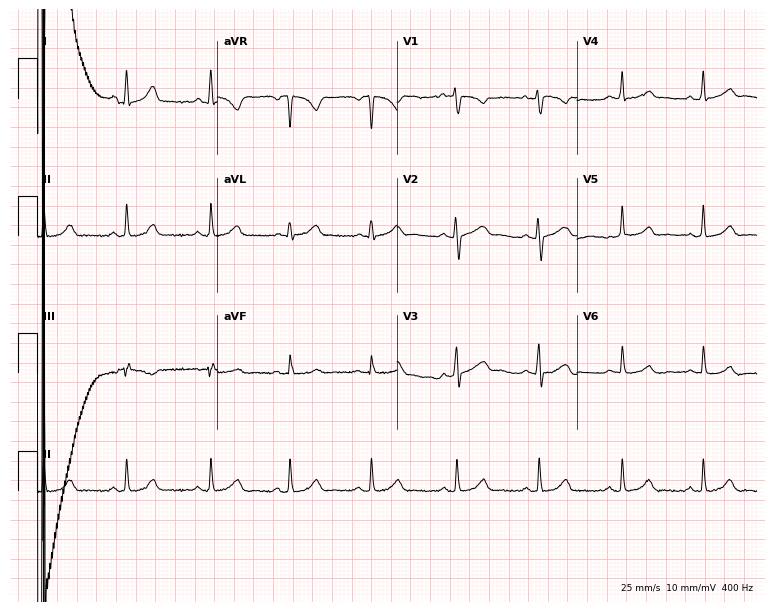
12-lead ECG from a female patient, 29 years old (7.3-second recording at 400 Hz). Recorded interpretation: within normal limits.